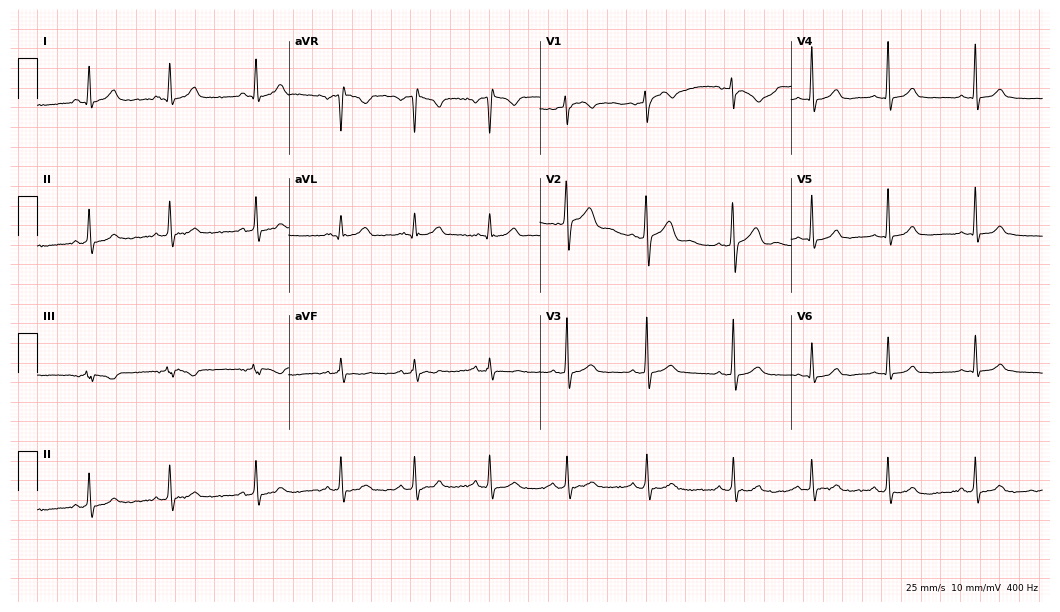
12-lead ECG (10.2-second recording at 400 Hz) from a woman, 20 years old. Labelled as a normal ECG.